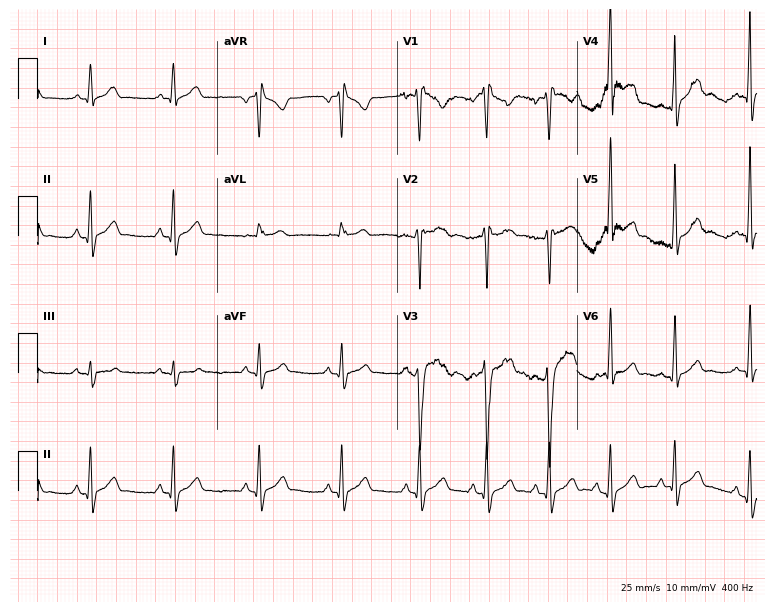
12-lead ECG from a man, 21 years old. Labelled as a normal ECG.